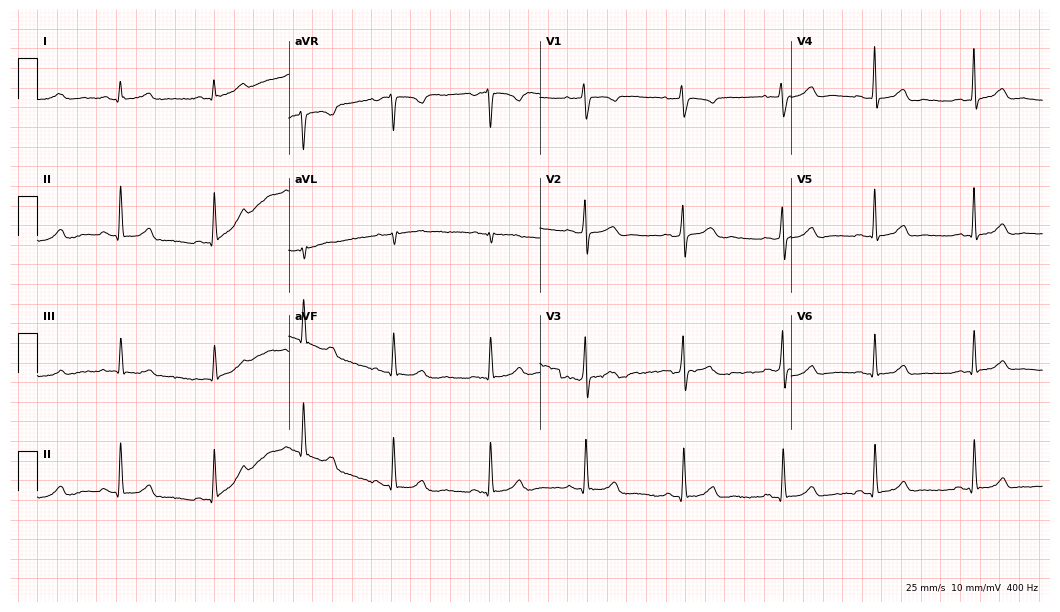
12-lead ECG from a woman, 23 years old (10.2-second recording at 400 Hz). Recorded interpretation: within normal limits.